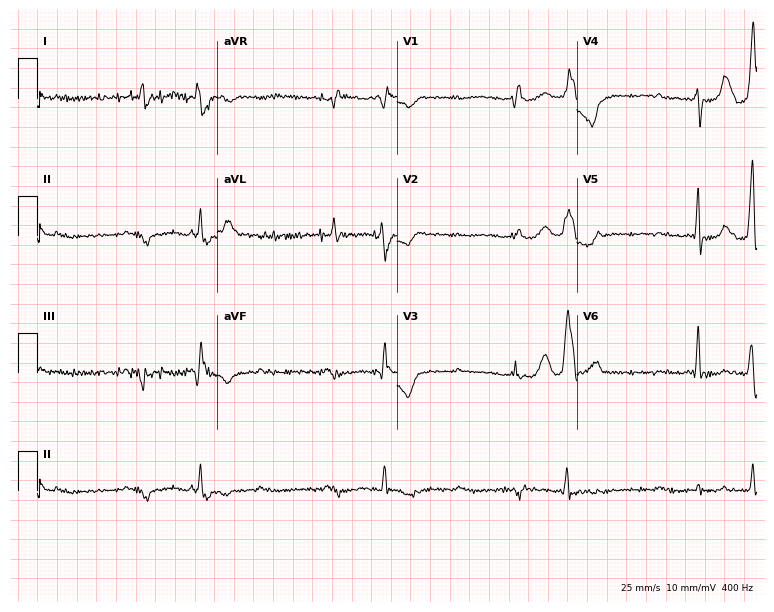
Resting 12-lead electrocardiogram (7.3-second recording at 400 Hz). Patient: a 69-year-old female. None of these six findings is recorded: first-degree AV block, right bundle branch block, left bundle branch block, sinus bradycardia, atrial fibrillation, sinus tachycardia.